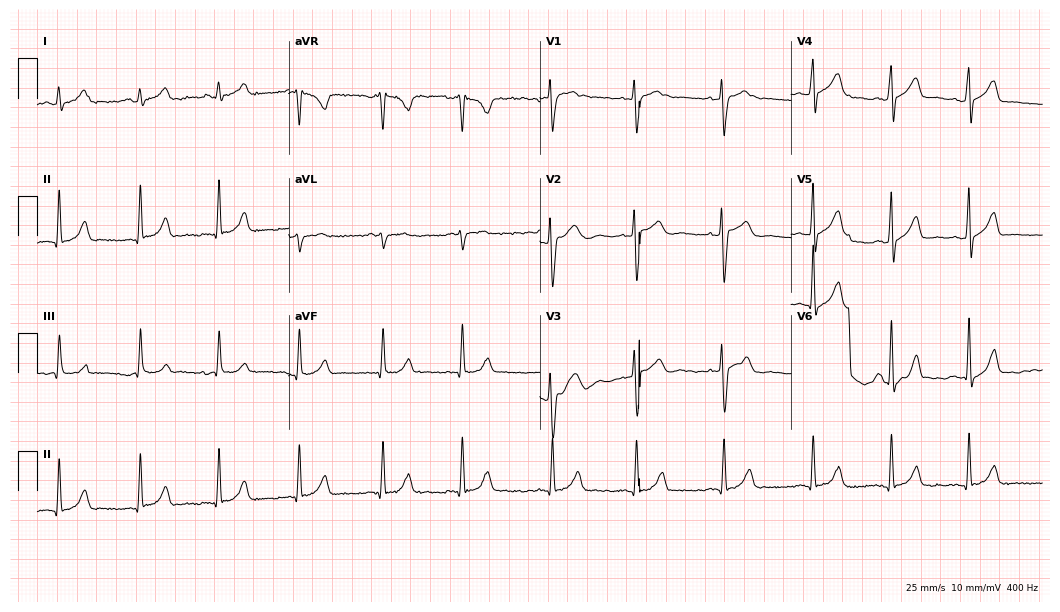
12-lead ECG (10.2-second recording at 400 Hz) from a female patient, 27 years old. Labelled as a normal ECG.